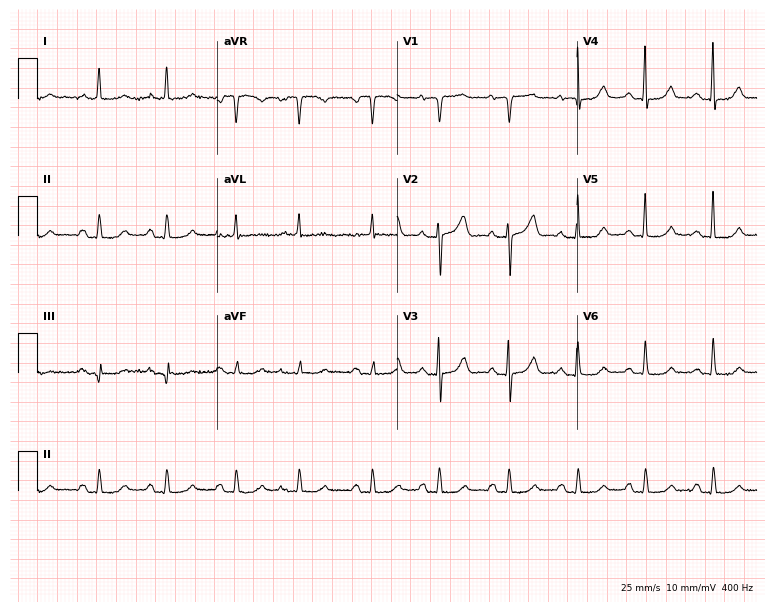
Resting 12-lead electrocardiogram (7.3-second recording at 400 Hz). Patient: an 80-year-old female. Read as a normal ECG.